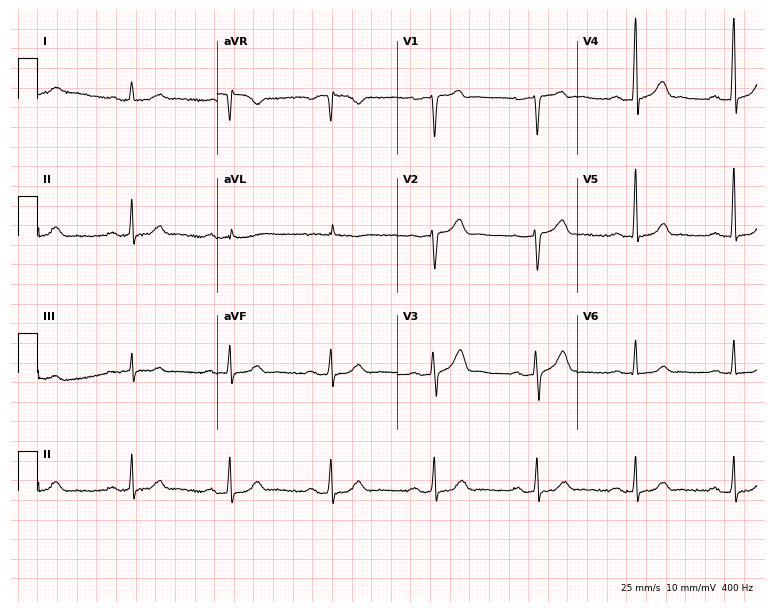
Electrocardiogram, a male patient, 61 years old. Interpretation includes first-degree AV block.